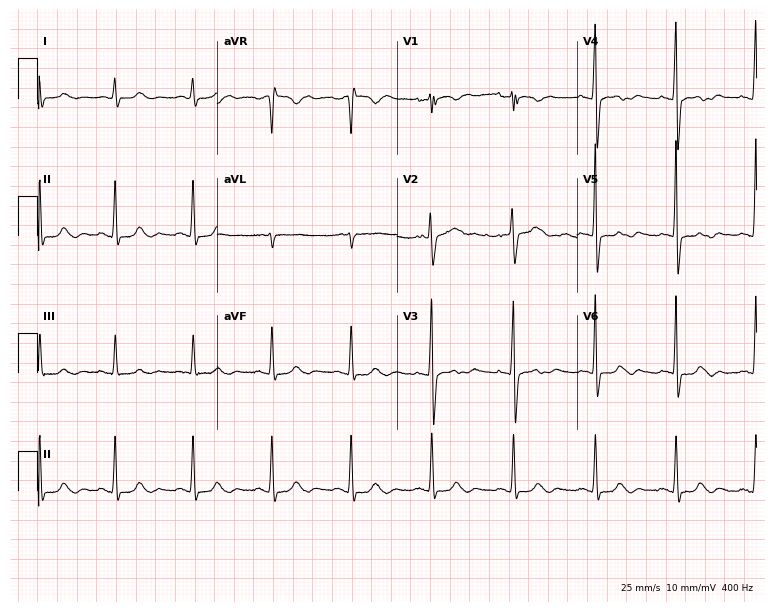
Standard 12-lead ECG recorded from a 53-year-old female (7.3-second recording at 400 Hz). Read as a normal ECG.